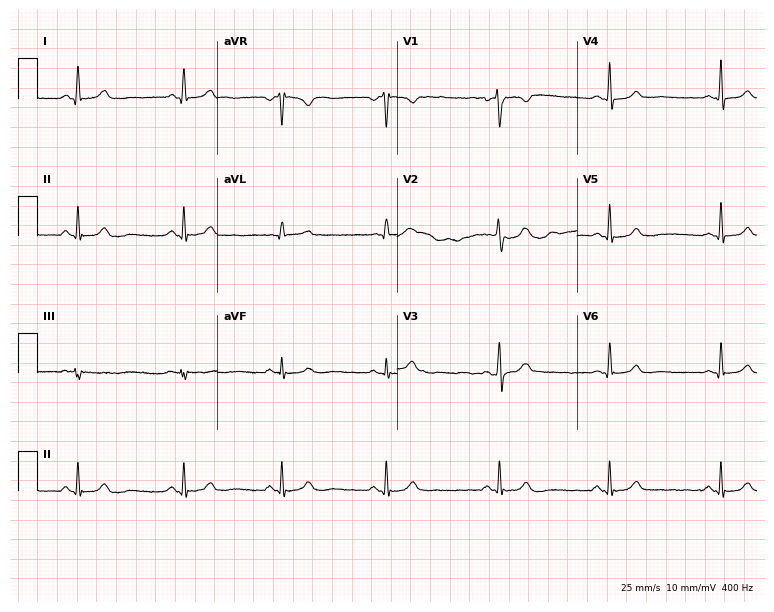
Resting 12-lead electrocardiogram (7.3-second recording at 400 Hz). Patient: a 44-year-old female. Read as a normal ECG.